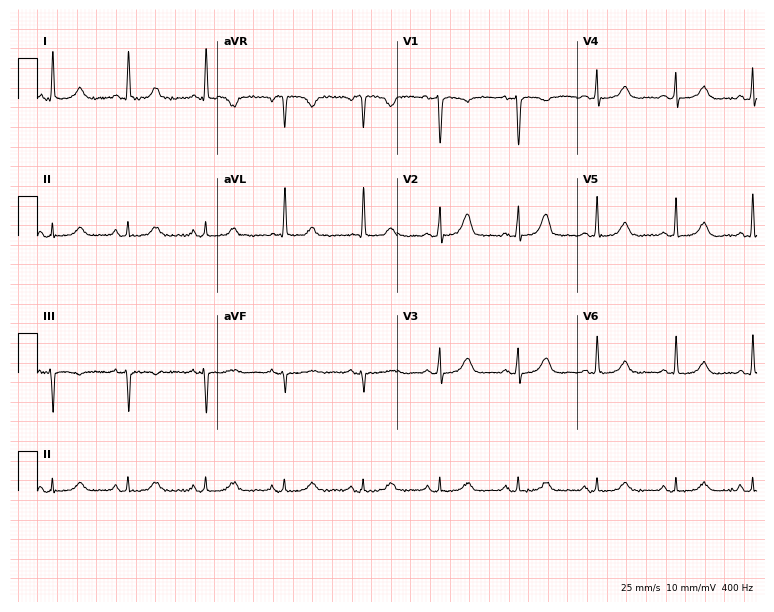
Standard 12-lead ECG recorded from a woman, 82 years old. None of these six findings is recorded: first-degree AV block, right bundle branch block, left bundle branch block, sinus bradycardia, atrial fibrillation, sinus tachycardia.